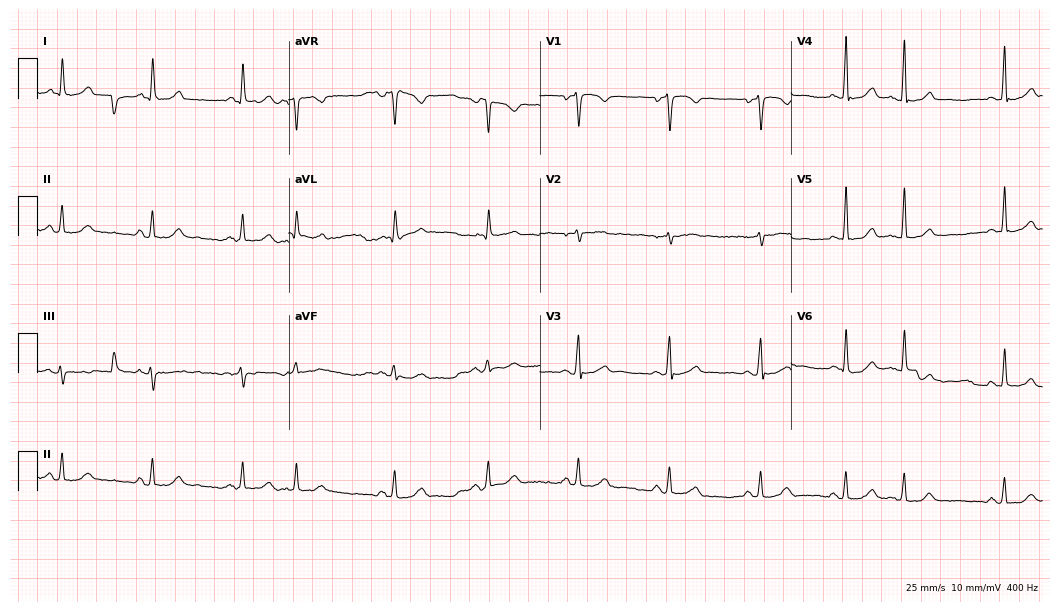
Electrocardiogram (10.2-second recording at 400 Hz), a female patient, 43 years old. Of the six screened findings (first-degree AV block, right bundle branch block, left bundle branch block, sinus bradycardia, atrial fibrillation, sinus tachycardia), none is recorded. Findings outside these six are not listed.